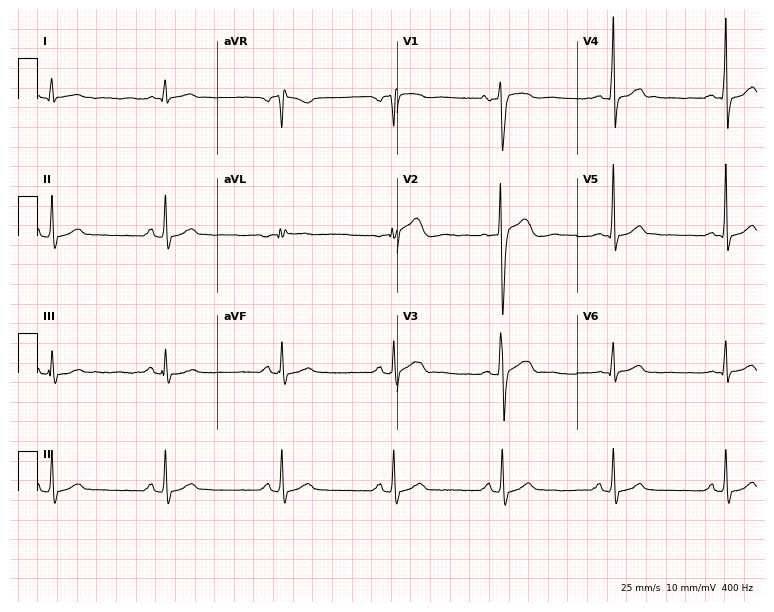
12-lead ECG (7.3-second recording at 400 Hz) from a 38-year-old male patient. Screened for six findings — first-degree AV block, right bundle branch block, left bundle branch block, sinus bradycardia, atrial fibrillation, sinus tachycardia — none is recorded. Only these six findings were labelled.